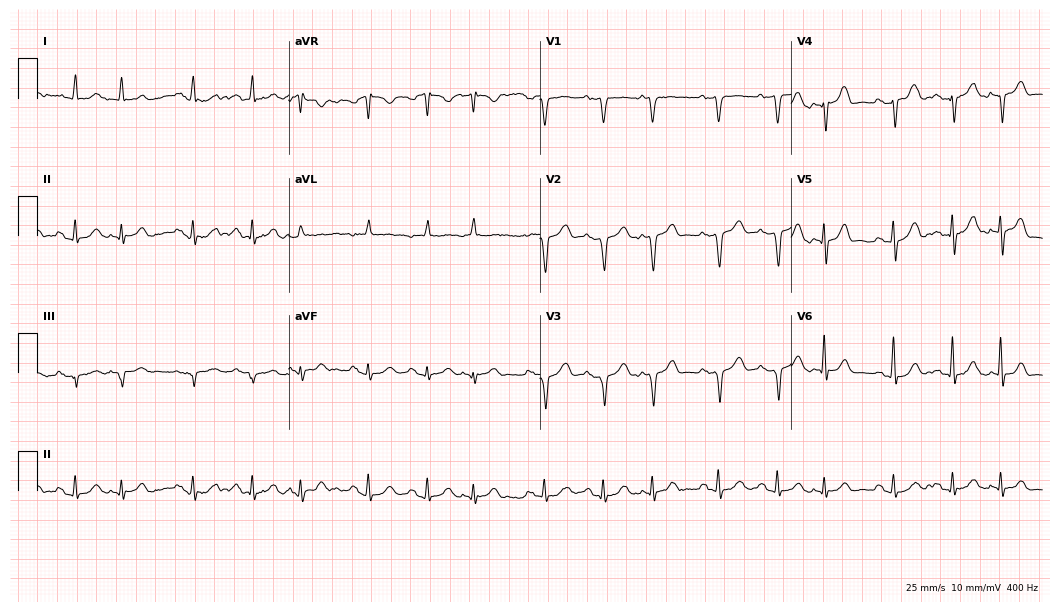
12-lead ECG (10.2-second recording at 400 Hz) from a male patient, 84 years old. Screened for six findings — first-degree AV block, right bundle branch block, left bundle branch block, sinus bradycardia, atrial fibrillation, sinus tachycardia — none is recorded.